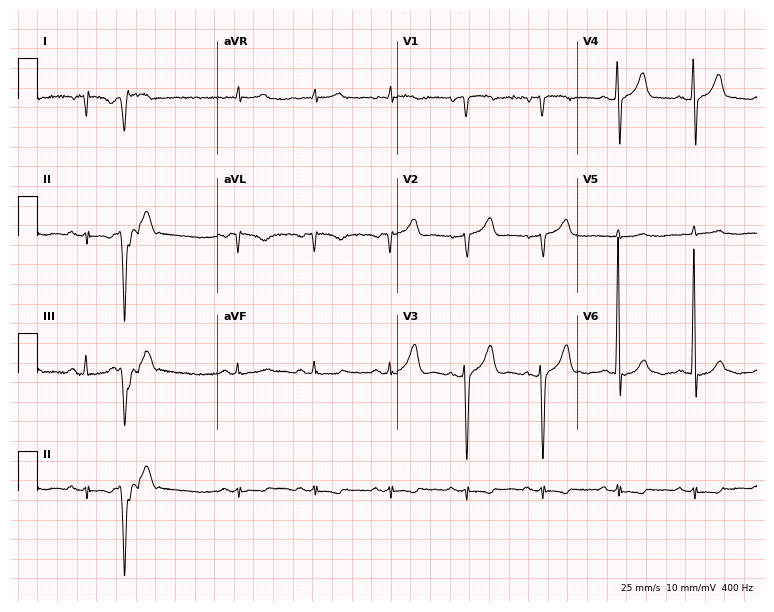
ECG — a male, 84 years old. Screened for six findings — first-degree AV block, right bundle branch block, left bundle branch block, sinus bradycardia, atrial fibrillation, sinus tachycardia — none is recorded. Other findings, if any, are not listed.